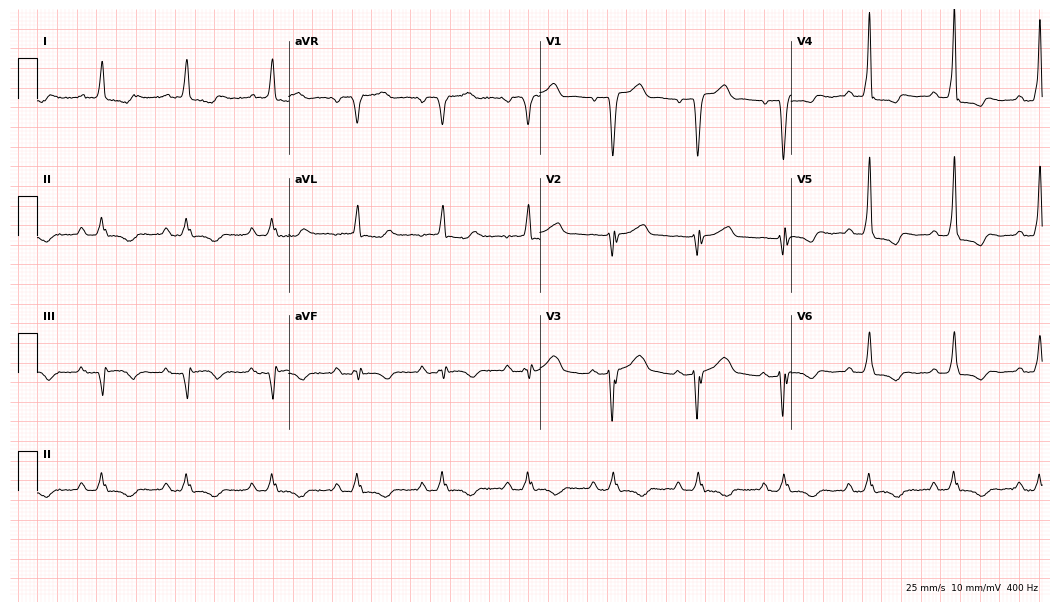
12-lead ECG (10.2-second recording at 400 Hz) from a 77-year-old male. Findings include left bundle branch block.